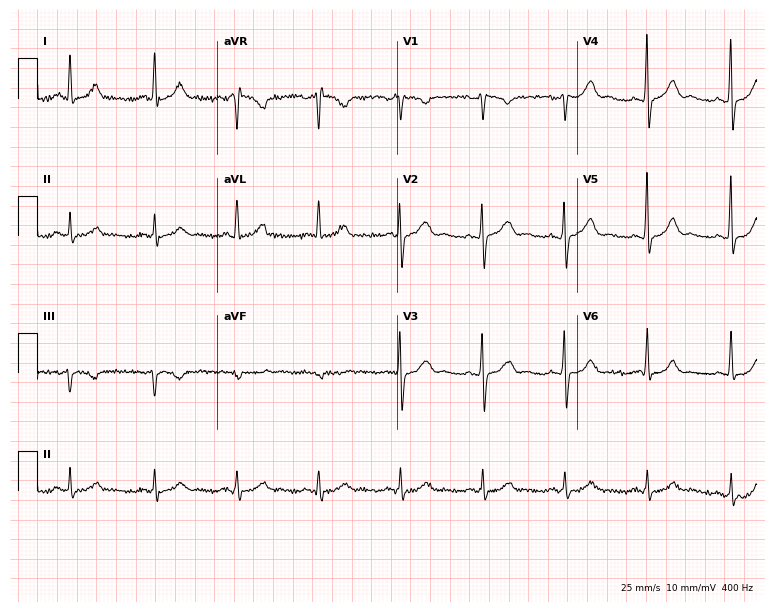
ECG (7.3-second recording at 400 Hz) — a male, 56 years old. Screened for six findings — first-degree AV block, right bundle branch block, left bundle branch block, sinus bradycardia, atrial fibrillation, sinus tachycardia — none is recorded. Only these six findings were labelled.